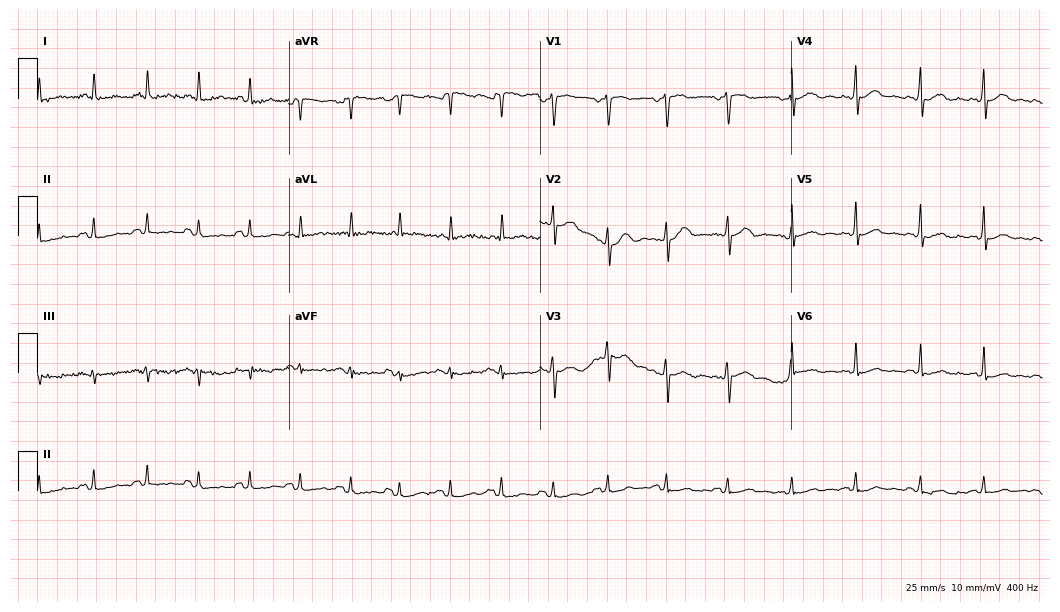
ECG (10.2-second recording at 400 Hz) — a 41-year-old female. Findings include sinus tachycardia (a sinus rate of 100 beats per minute or more).